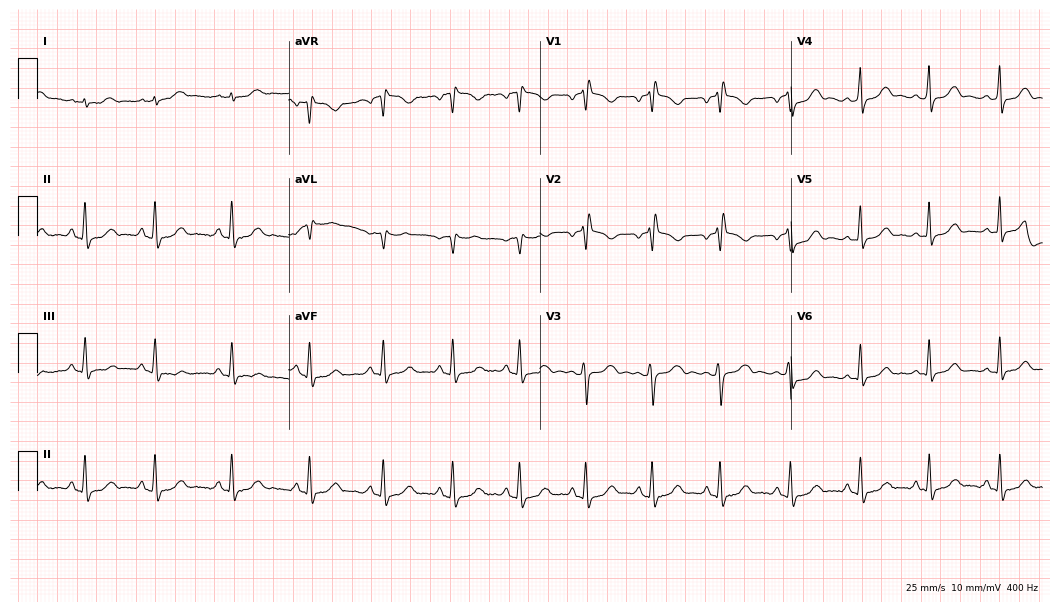
12-lead ECG from a woman, 27 years old. Findings include right bundle branch block (RBBB).